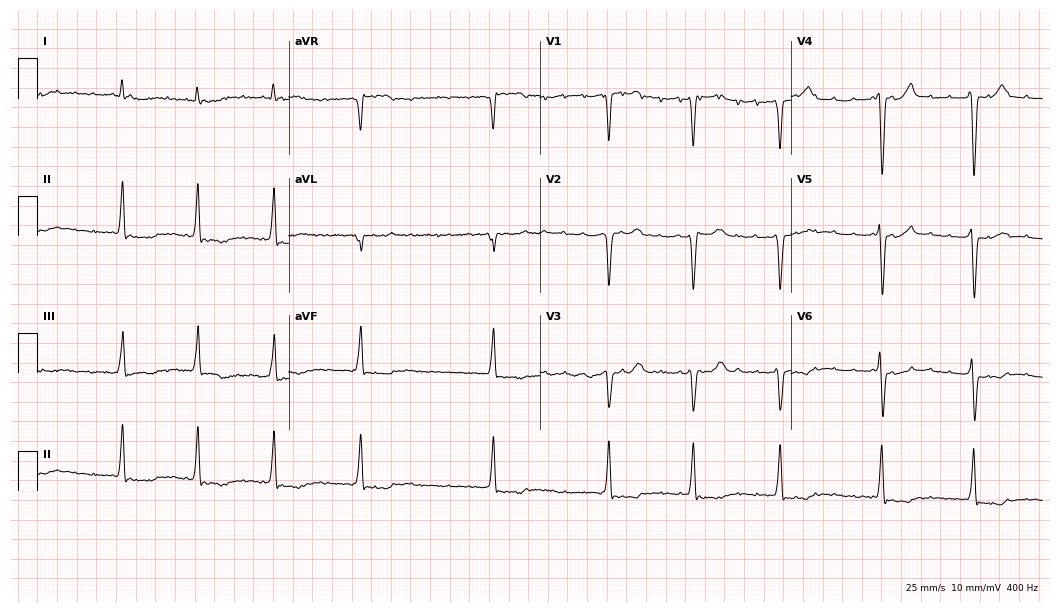
12-lead ECG (10.2-second recording at 400 Hz) from a 68-year-old male. Screened for six findings — first-degree AV block, right bundle branch block, left bundle branch block, sinus bradycardia, atrial fibrillation, sinus tachycardia — none is recorded.